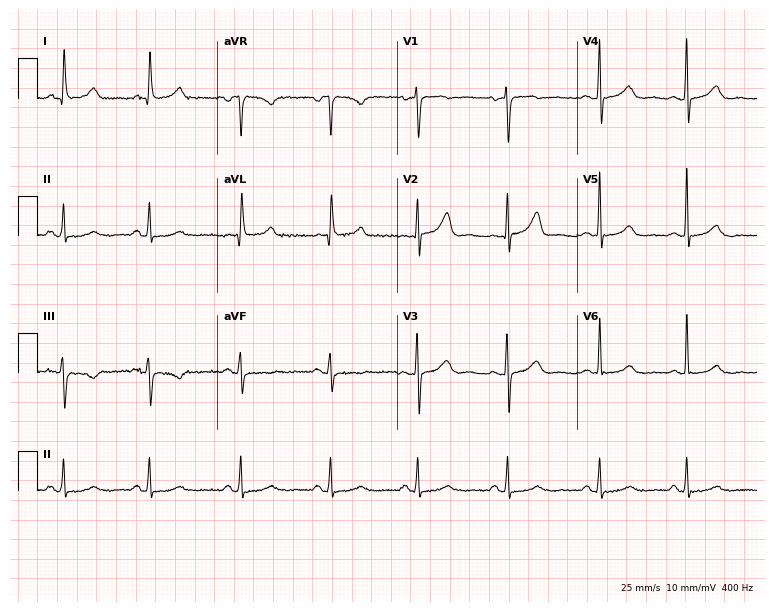
12-lead ECG from a female patient, 70 years old. Labelled as a normal ECG.